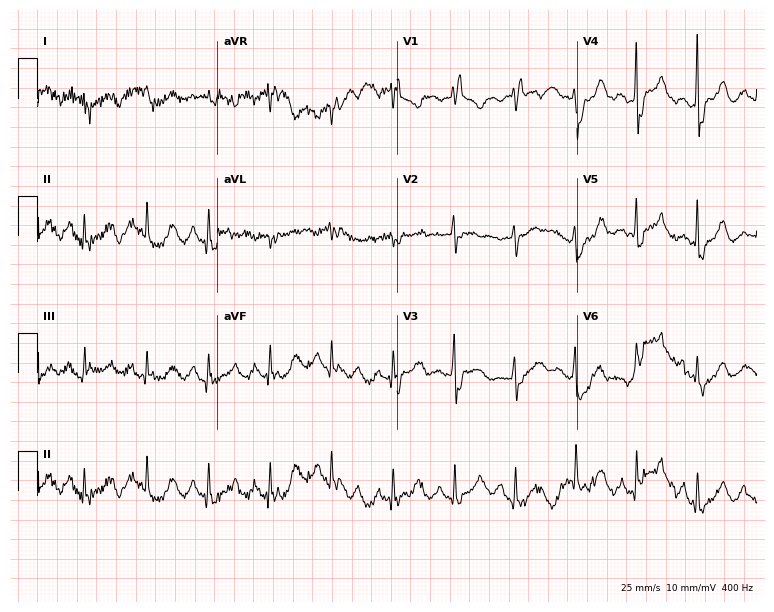
Electrocardiogram (7.3-second recording at 400 Hz), an 84-year-old man. Interpretation includes right bundle branch block.